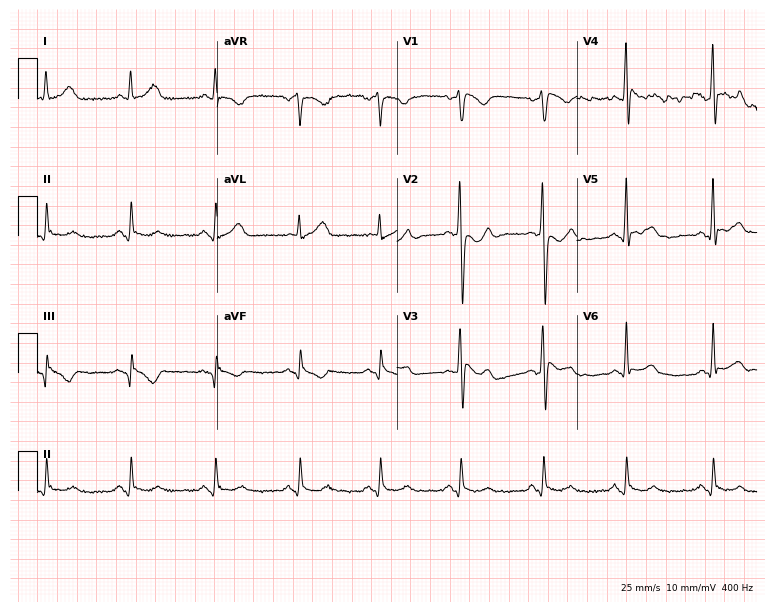
Standard 12-lead ECG recorded from a male patient, 62 years old. None of these six findings is recorded: first-degree AV block, right bundle branch block, left bundle branch block, sinus bradycardia, atrial fibrillation, sinus tachycardia. Other findings, if any, are not listed.